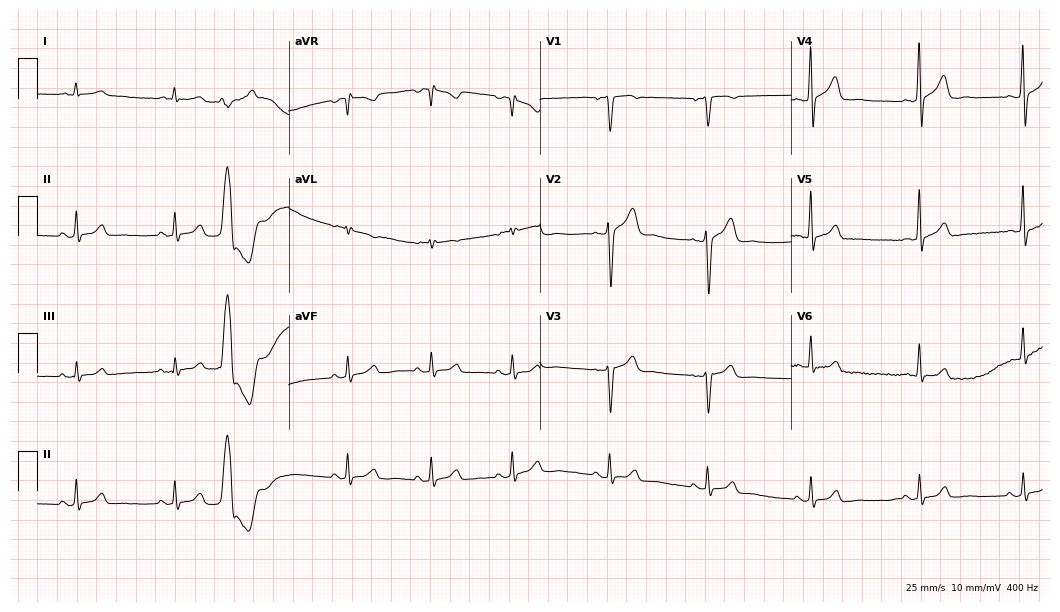
Electrocardiogram (10.2-second recording at 400 Hz), a 49-year-old man. Of the six screened findings (first-degree AV block, right bundle branch block (RBBB), left bundle branch block (LBBB), sinus bradycardia, atrial fibrillation (AF), sinus tachycardia), none is recorded. Only these six findings were labelled.